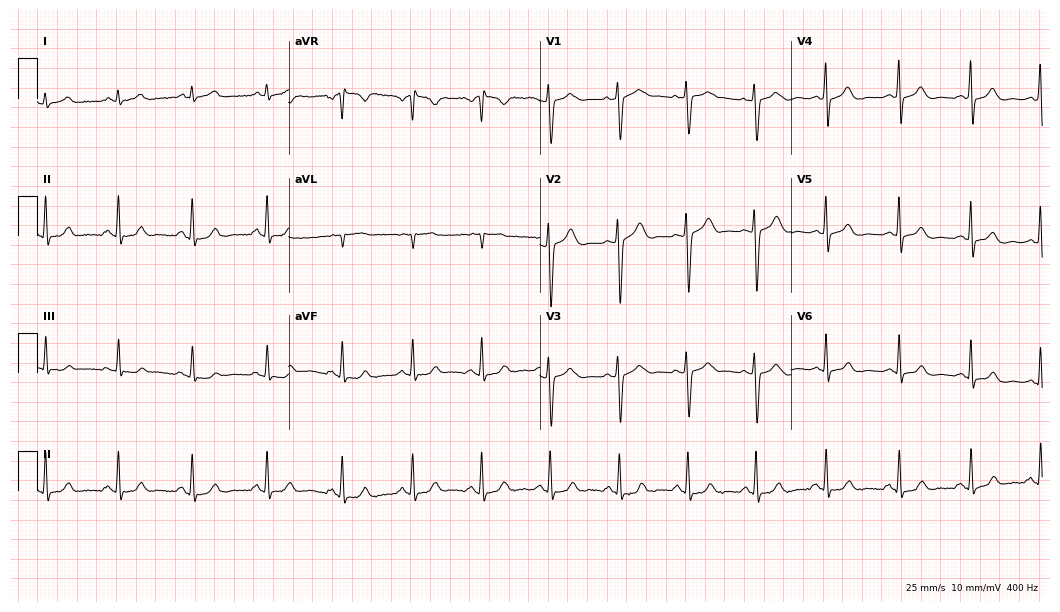
12-lead ECG from a woman, 39 years old. Recorded interpretation: within normal limits.